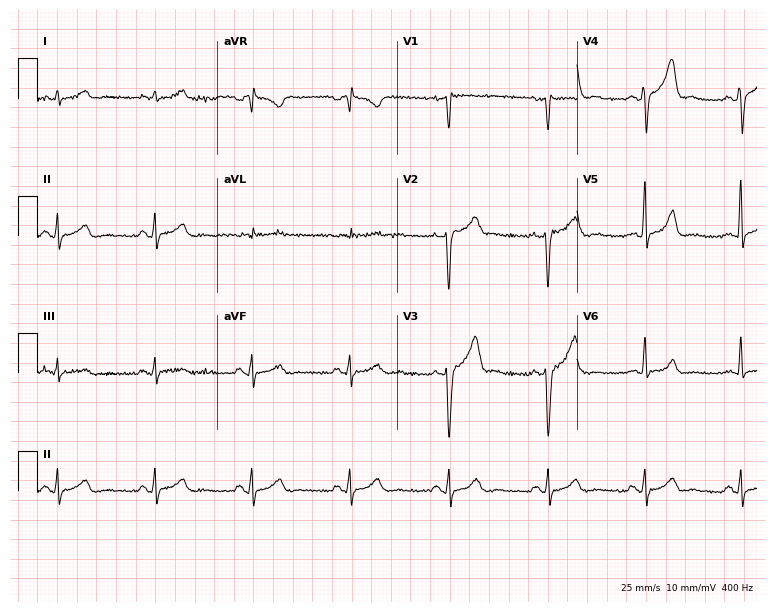
Electrocardiogram, a male patient, 60 years old. Of the six screened findings (first-degree AV block, right bundle branch block (RBBB), left bundle branch block (LBBB), sinus bradycardia, atrial fibrillation (AF), sinus tachycardia), none is recorded. Findings outside these six are not listed.